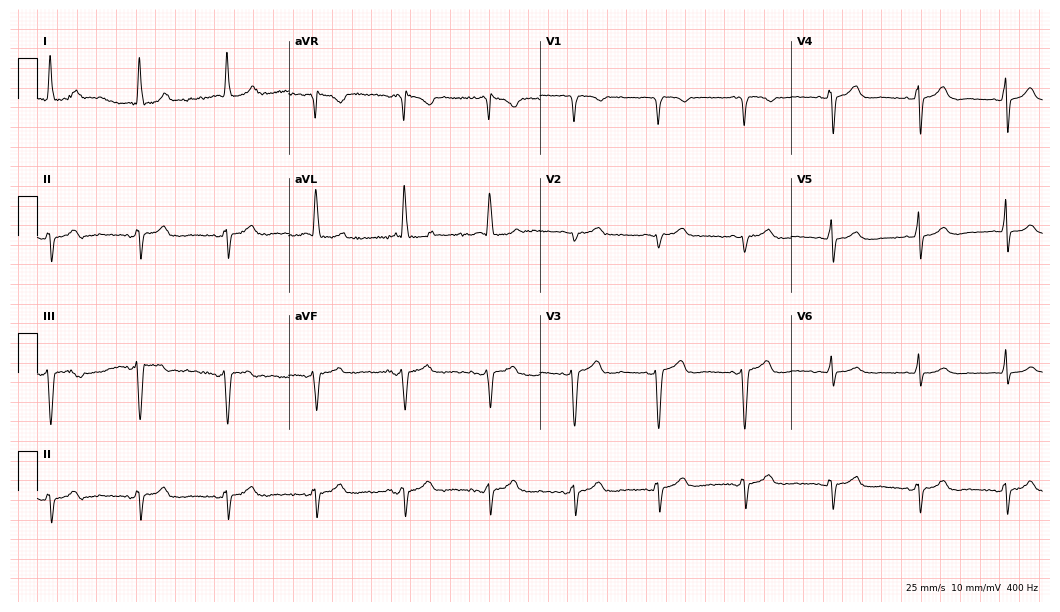
Standard 12-lead ECG recorded from a 77-year-old female. None of these six findings is recorded: first-degree AV block, right bundle branch block, left bundle branch block, sinus bradycardia, atrial fibrillation, sinus tachycardia. Findings outside these six are not listed.